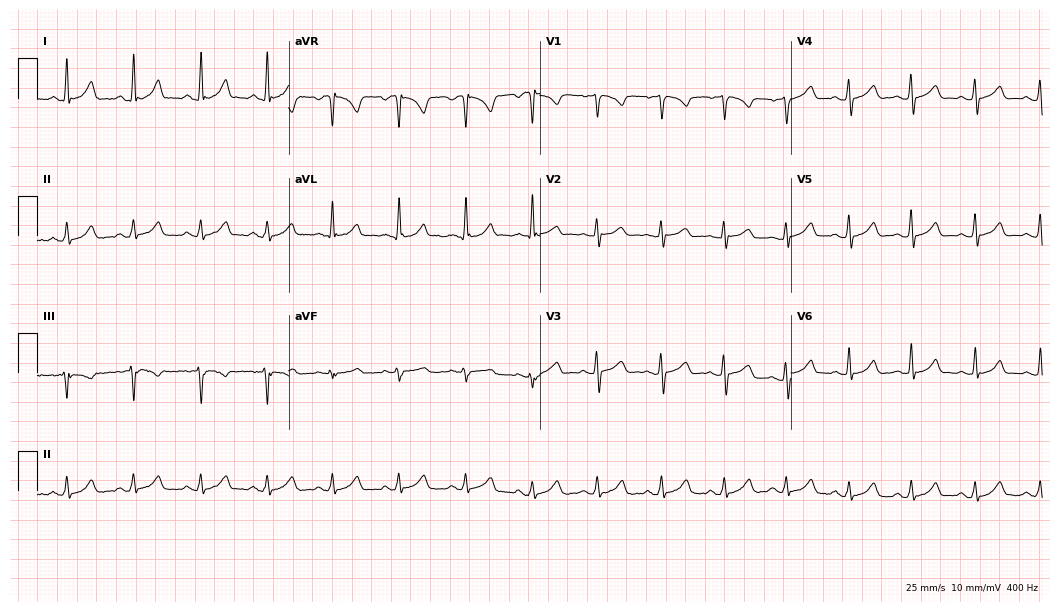
Electrocardiogram, a female, 36 years old. Overall reading on record: normal ECG.